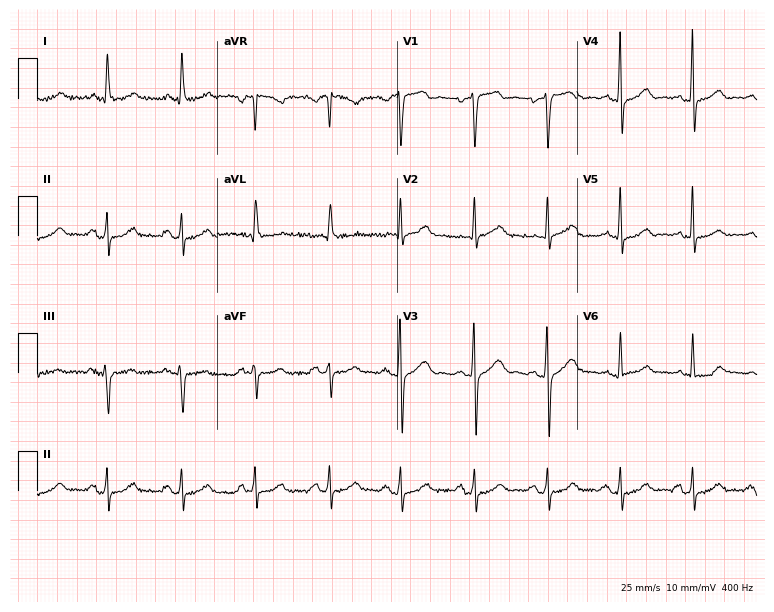
Resting 12-lead electrocardiogram (7.3-second recording at 400 Hz). Patient: a 78-year-old male. Read as a normal ECG.